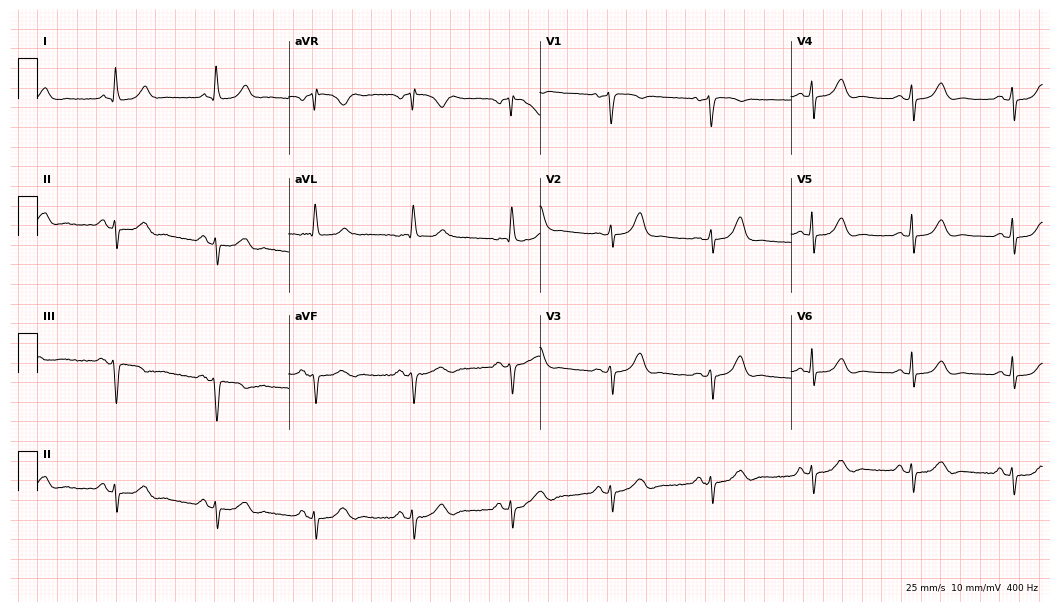
12-lead ECG from a 55-year-old female. Recorded interpretation: within normal limits.